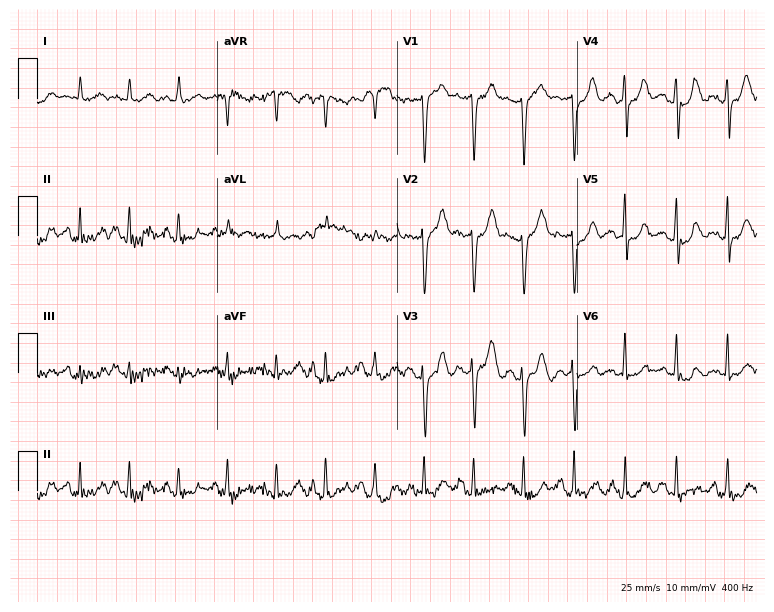
12-lead ECG from a female, 49 years old (7.3-second recording at 400 Hz). Shows sinus tachycardia (a sinus rate of 100 beats per minute or more).